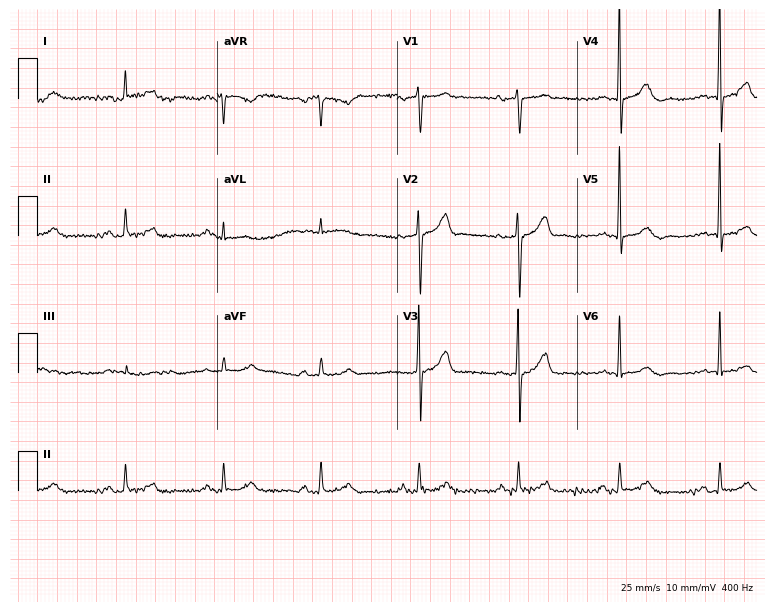
Resting 12-lead electrocardiogram. Patient: a 74-year-old male. None of these six findings is recorded: first-degree AV block, right bundle branch block, left bundle branch block, sinus bradycardia, atrial fibrillation, sinus tachycardia.